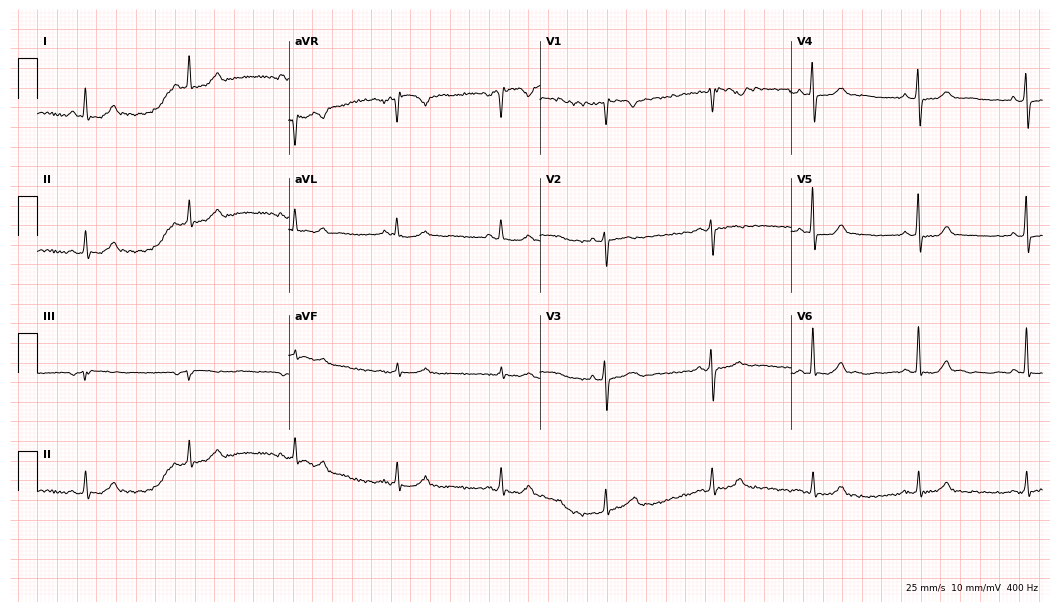
ECG — a female patient, 57 years old. Labelled as a normal ECG.